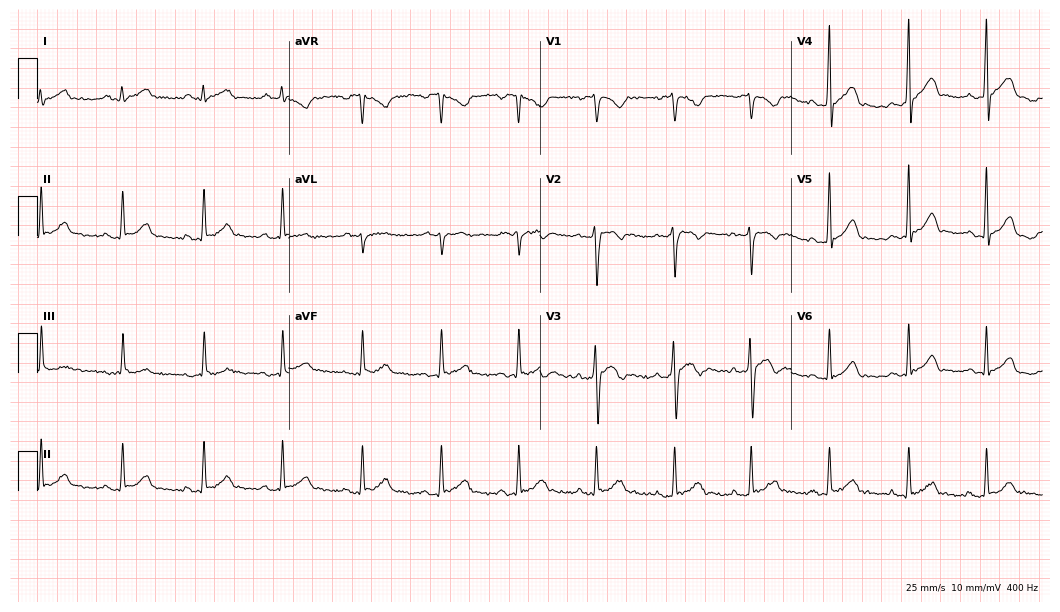
Electrocardiogram (10.2-second recording at 400 Hz), a 41-year-old male patient. Overall reading on record: normal ECG.